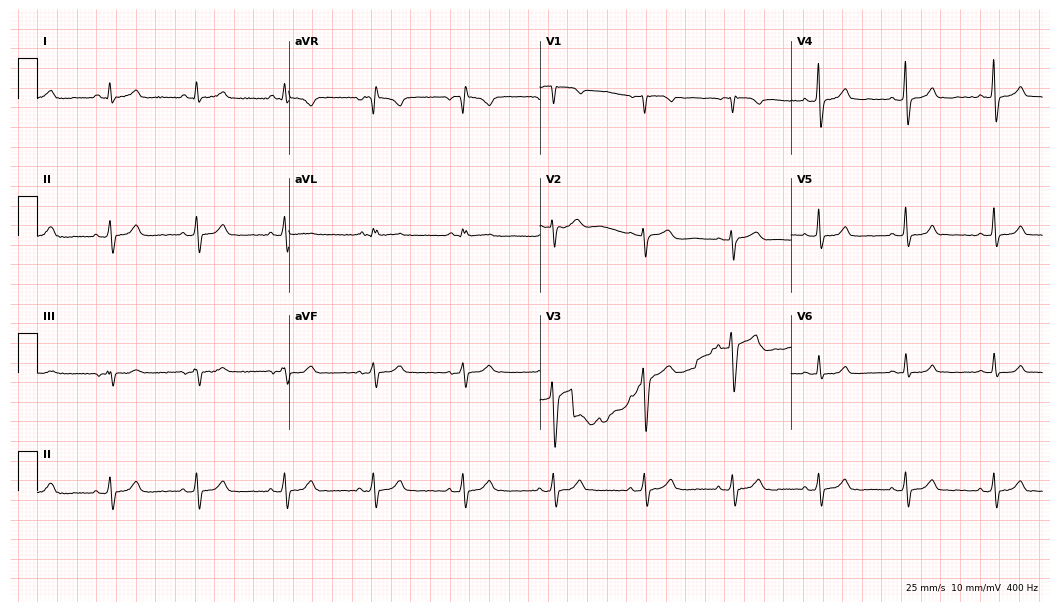
Resting 12-lead electrocardiogram (10.2-second recording at 400 Hz). Patient: a man, 47 years old. Read as a normal ECG.